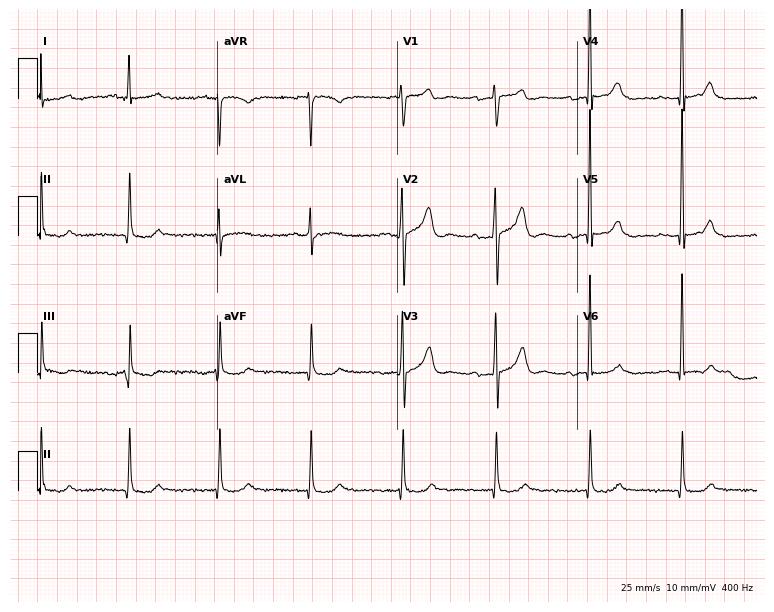
Standard 12-lead ECG recorded from an 81-year-old male (7.3-second recording at 400 Hz). None of these six findings is recorded: first-degree AV block, right bundle branch block (RBBB), left bundle branch block (LBBB), sinus bradycardia, atrial fibrillation (AF), sinus tachycardia. Findings outside these six are not listed.